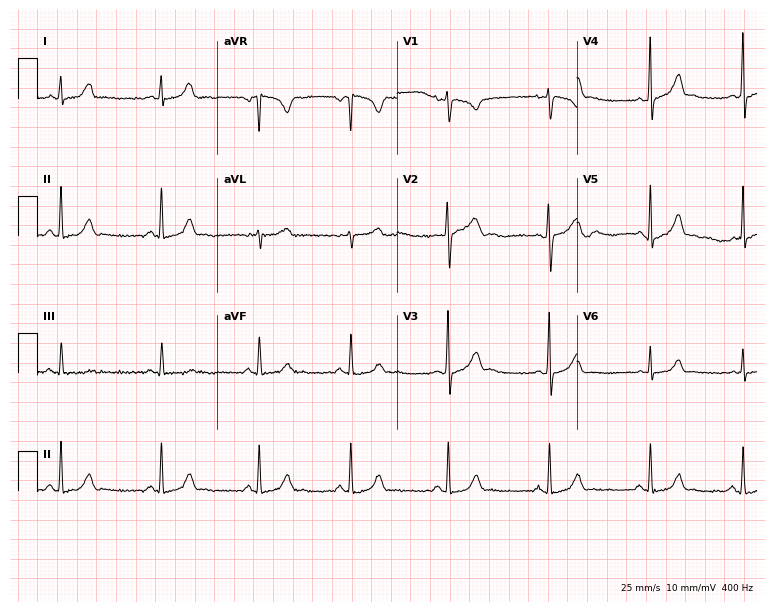
ECG (7.3-second recording at 400 Hz) — a female, 22 years old. Labelled as a normal ECG.